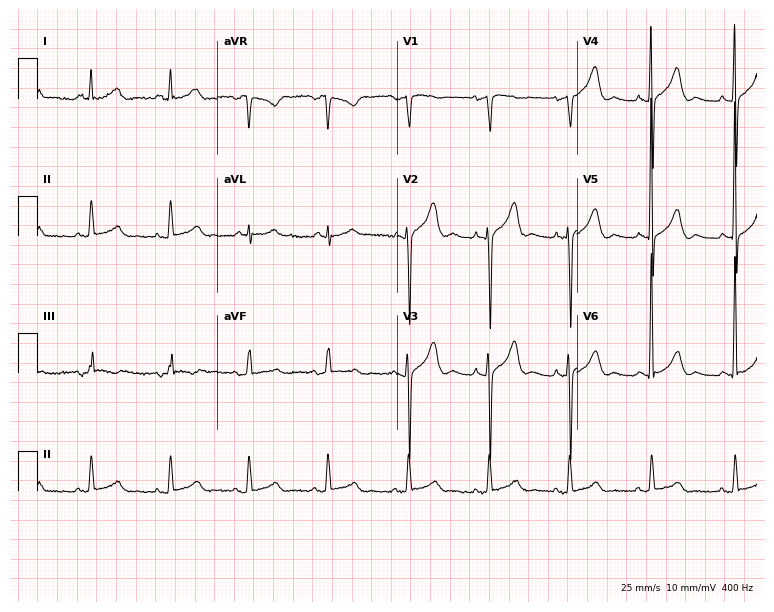
12-lead ECG from a female, 77 years old. Screened for six findings — first-degree AV block, right bundle branch block, left bundle branch block, sinus bradycardia, atrial fibrillation, sinus tachycardia — none is recorded.